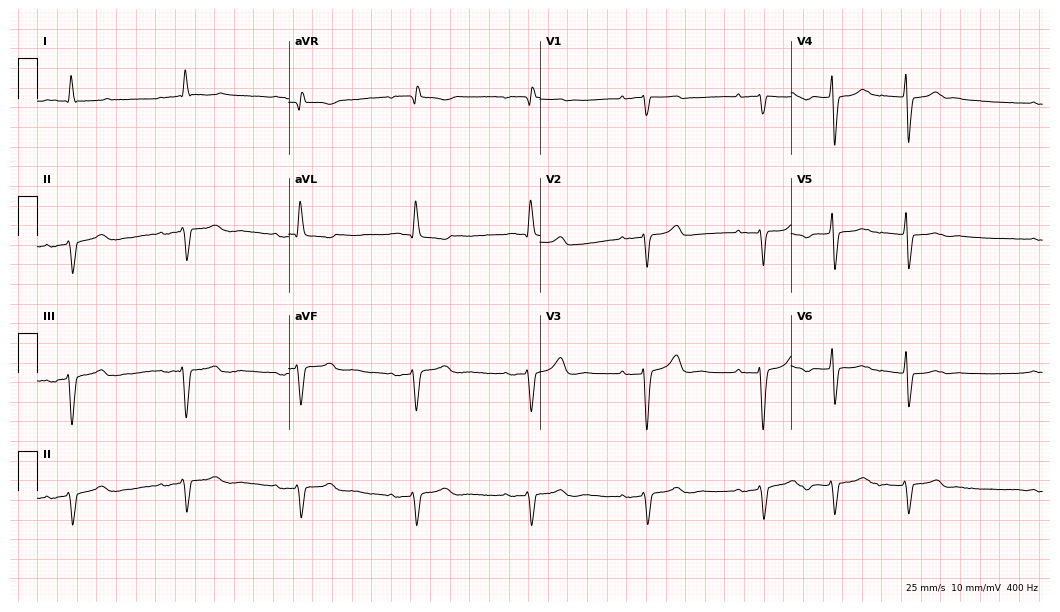
Resting 12-lead electrocardiogram. Patient: an 84-year-old female. None of these six findings is recorded: first-degree AV block, right bundle branch block, left bundle branch block, sinus bradycardia, atrial fibrillation, sinus tachycardia. Other findings, if any, are not listed.